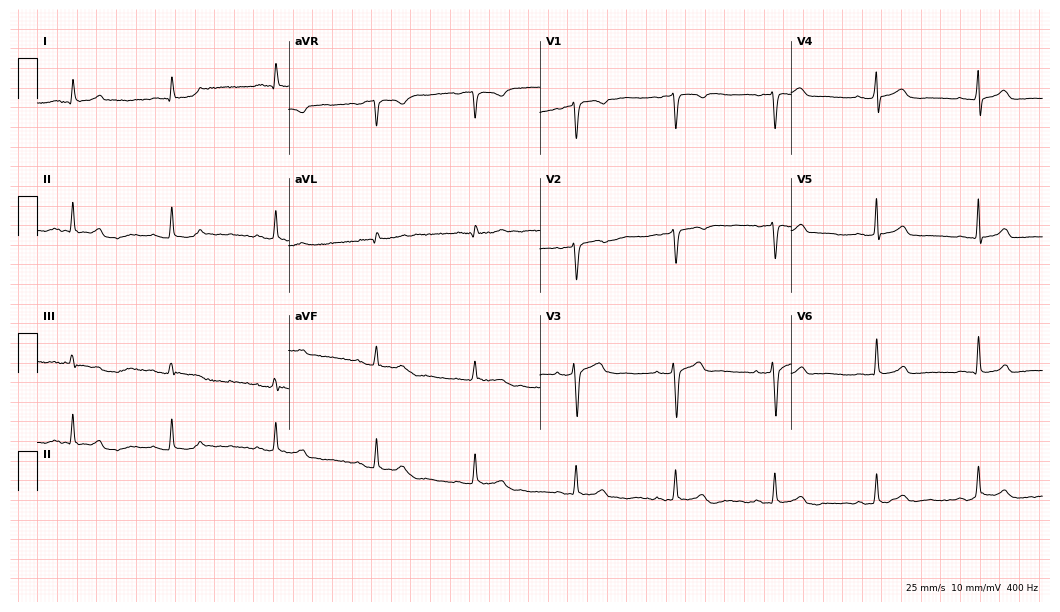
Electrocardiogram (10.2-second recording at 400 Hz), a woman, 46 years old. Overall reading on record: normal ECG.